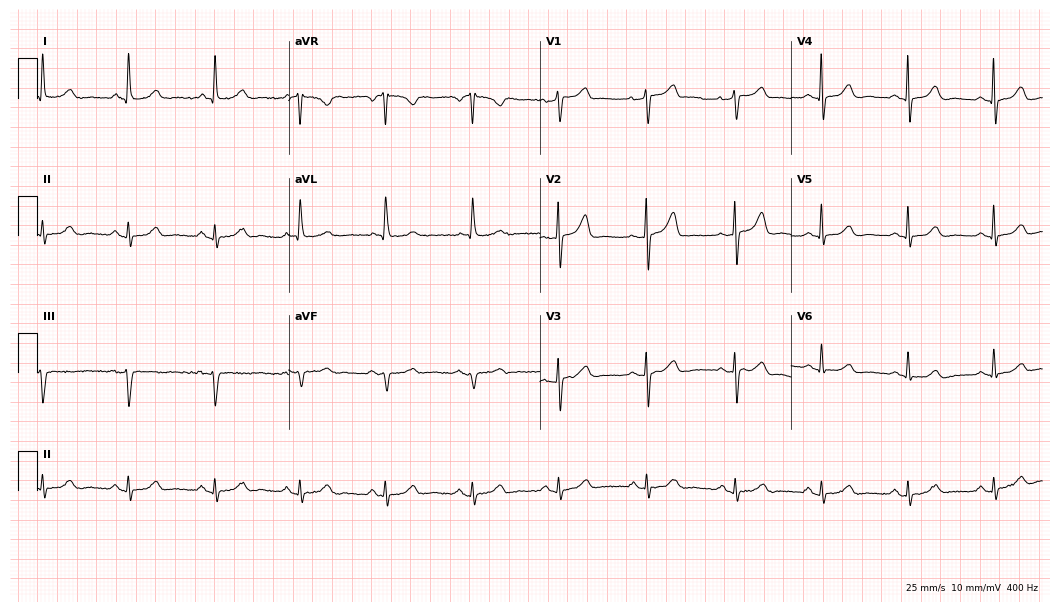
12-lead ECG (10.2-second recording at 400 Hz) from an 80-year-old female patient. Labelled as a normal ECG.